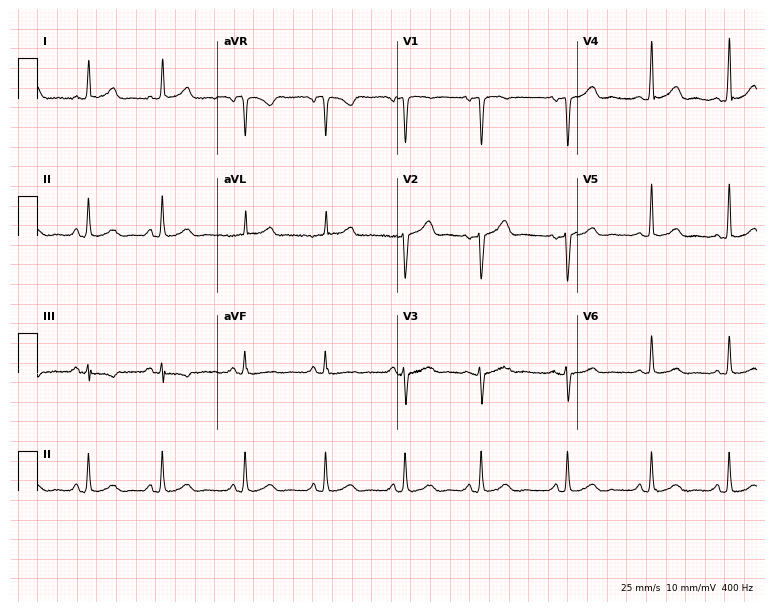
Electrocardiogram, a 52-year-old female patient. Of the six screened findings (first-degree AV block, right bundle branch block, left bundle branch block, sinus bradycardia, atrial fibrillation, sinus tachycardia), none is recorded.